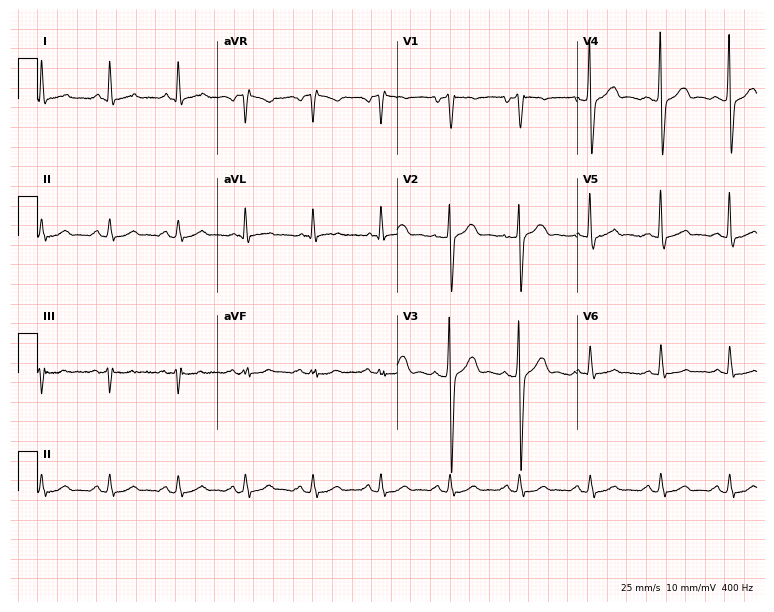
Standard 12-lead ECG recorded from a female, 62 years old. Read as a normal ECG.